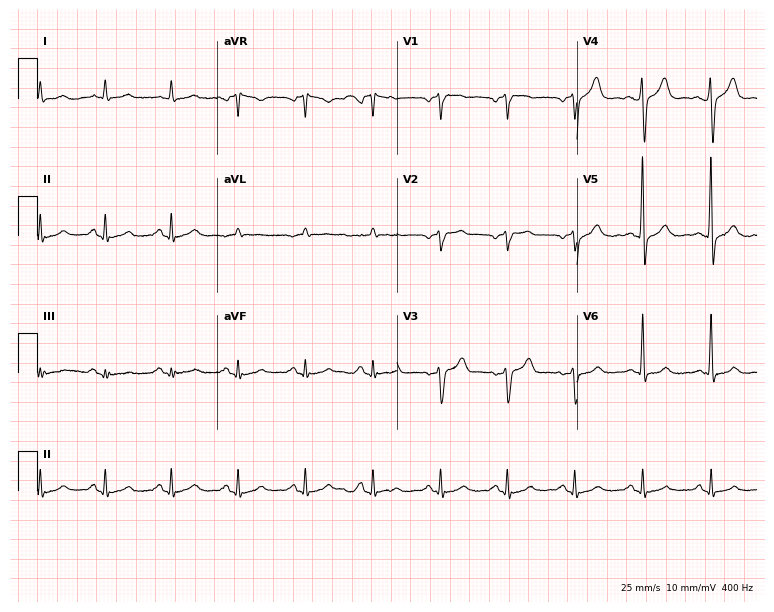
Resting 12-lead electrocardiogram. Patient: a 65-year-old man. Read as a normal ECG.